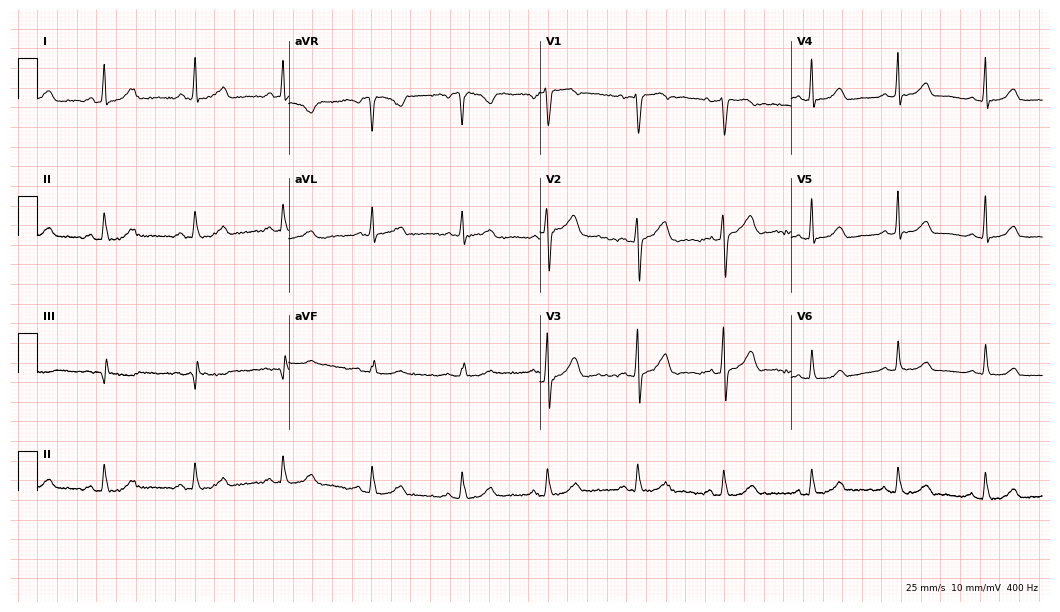
Resting 12-lead electrocardiogram. Patient: a 32-year-old female. Read as a normal ECG.